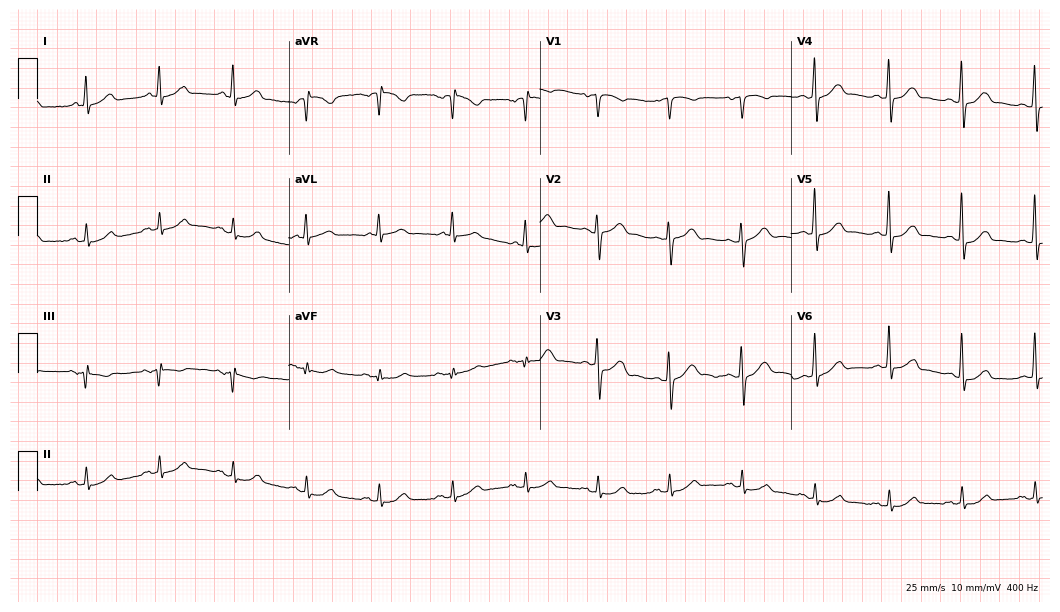
Standard 12-lead ECG recorded from a male patient, 68 years old (10.2-second recording at 400 Hz). Read as a normal ECG.